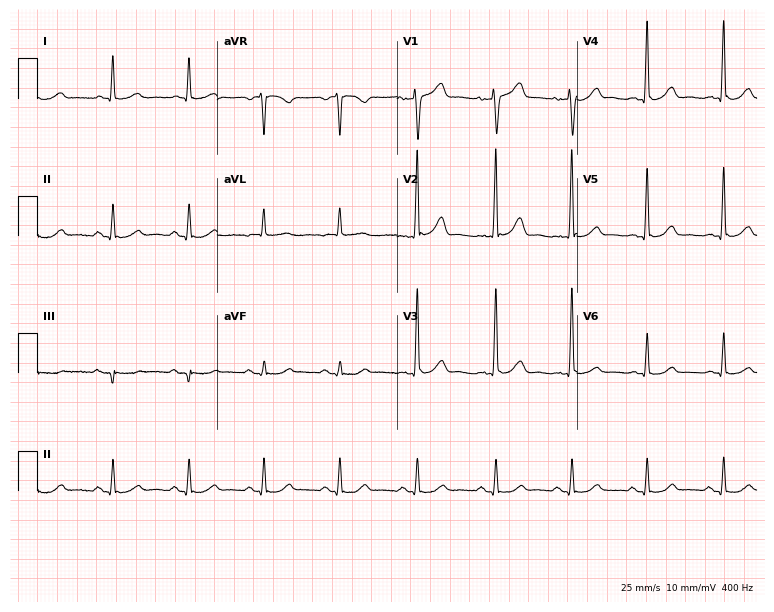
ECG (7.3-second recording at 400 Hz) — a 73-year-old male. Screened for six findings — first-degree AV block, right bundle branch block, left bundle branch block, sinus bradycardia, atrial fibrillation, sinus tachycardia — none is recorded.